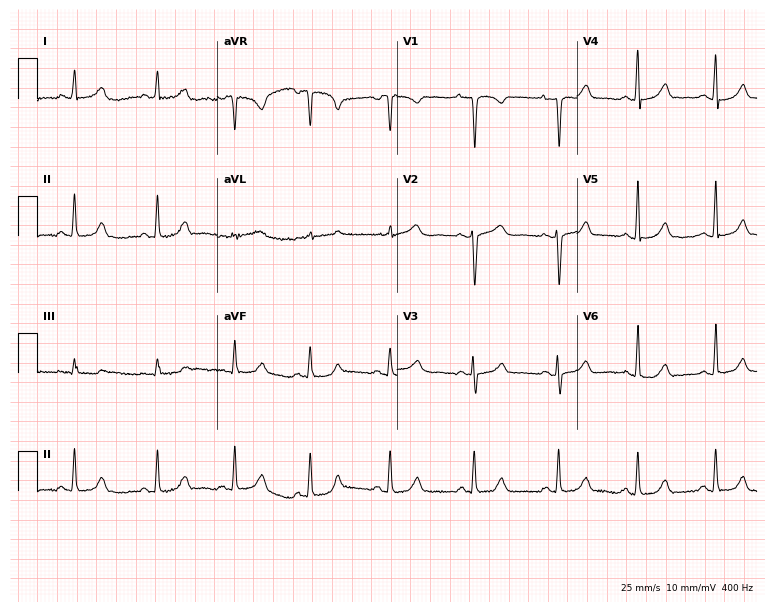
Resting 12-lead electrocardiogram (7.3-second recording at 400 Hz). Patient: a woman, 42 years old. Read as a normal ECG.